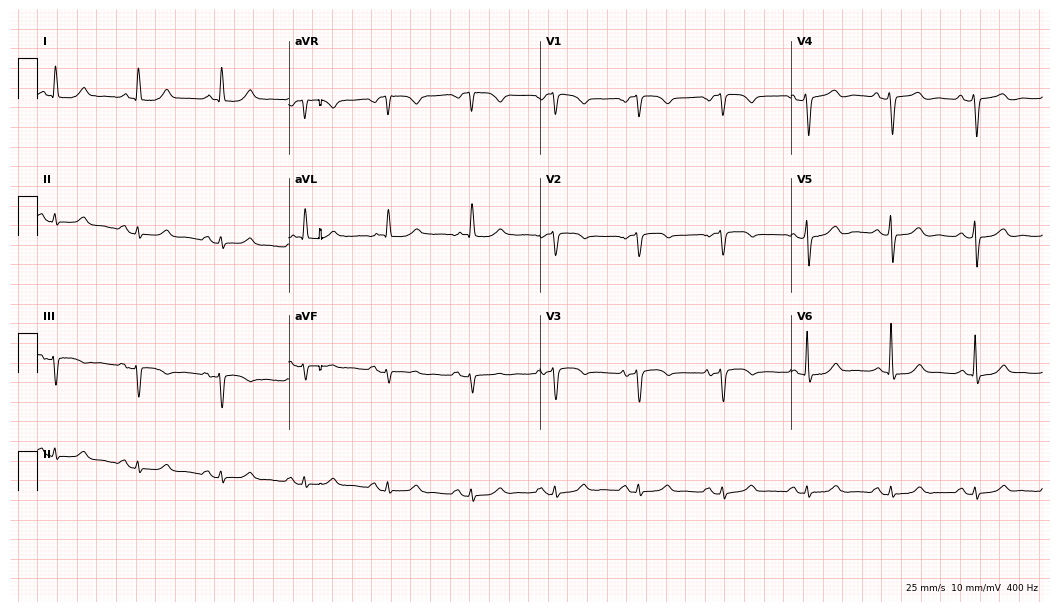
ECG (10.2-second recording at 400 Hz) — a 77-year-old female. Screened for six findings — first-degree AV block, right bundle branch block (RBBB), left bundle branch block (LBBB), sinus bradycardia, atrial fibrillation (AF), sinus tachycardia — none is recorded.